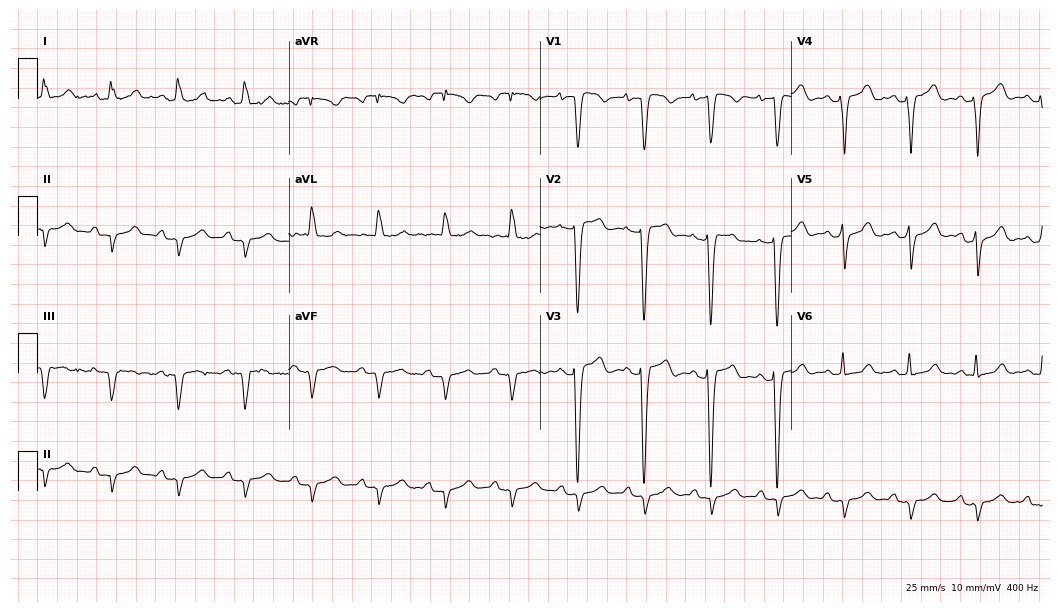
12-lead ECG from a 67-year-old woman (10.2-second recording at 400 Hz). No first-degree AV block, right bundle branch block, left bundle branch block, sinus bradycardia, atrial fibrillation or sinus tachycardia recorded for this tracing. Findings outside these six are not listed.